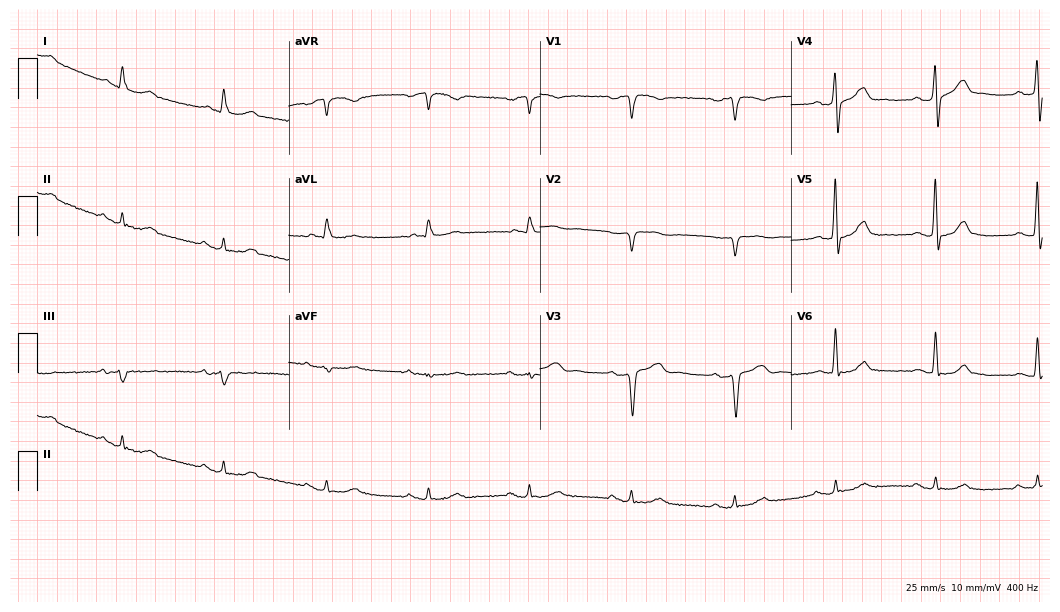
Electrocardiogram (10.2-second recording at 400 Hz), a 59-year-old man. Interpretation includes first-degree AV block.